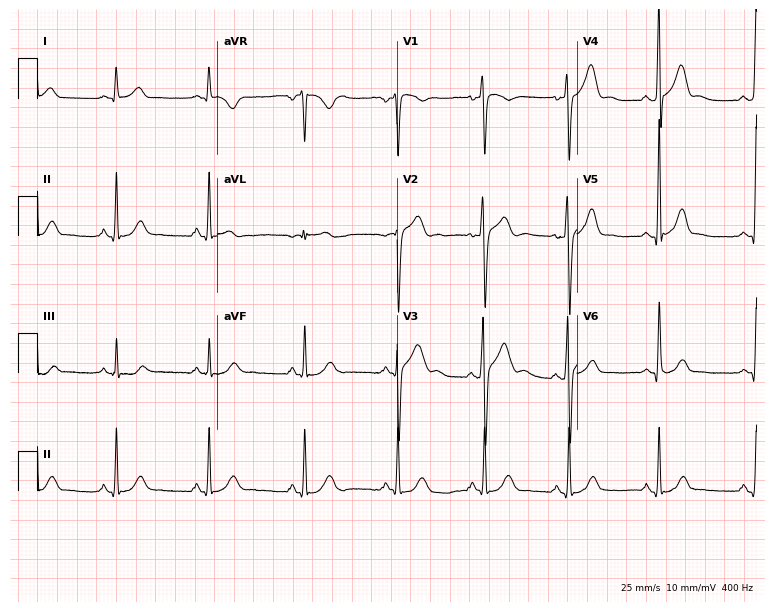
Standard 12-lead ECG recorded from a male, 26 years old. Read as a normal ECG.